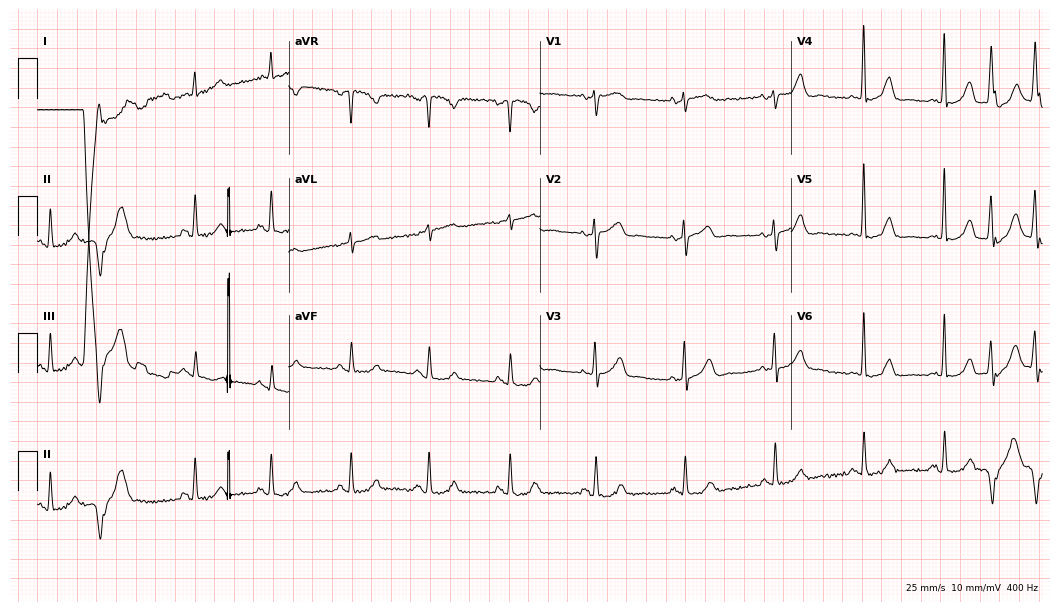
12-lead ECG (10.2-second recording at 400 Hz) from a female patient, 70 years old. Screened for six findings — first-degree AV block, right bundle branch block (RBBB), left bundle branch block (LBBB), sinus bradycardia, atrial fibrillation (AF), sinus tachycardia — none is recorded.